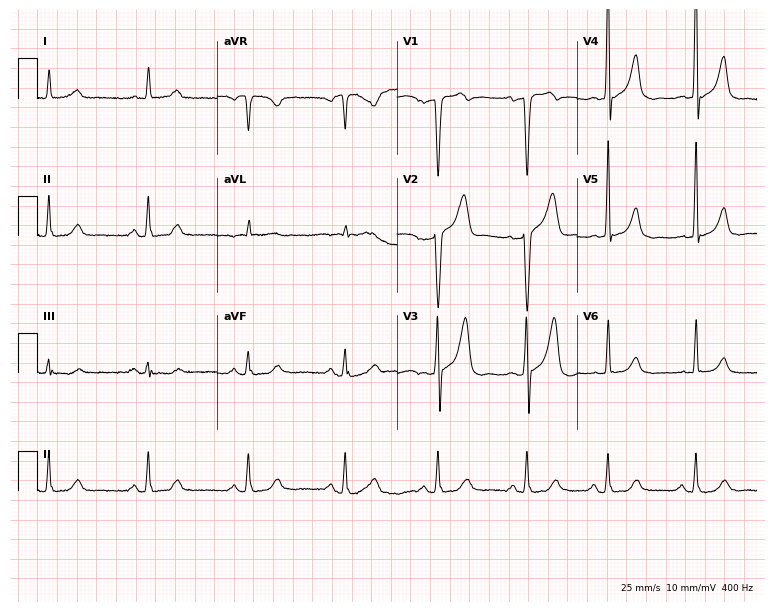
Standard 12-lead ECG recorded from a 58-year-old male patient (7.3-second recording at 400 Hz). None of these six findings is recorded: first-degree AV block, right bundle branch block, left bundle branch block, sinus bradycardia, atrial fibrillation, sinus tachycardia.